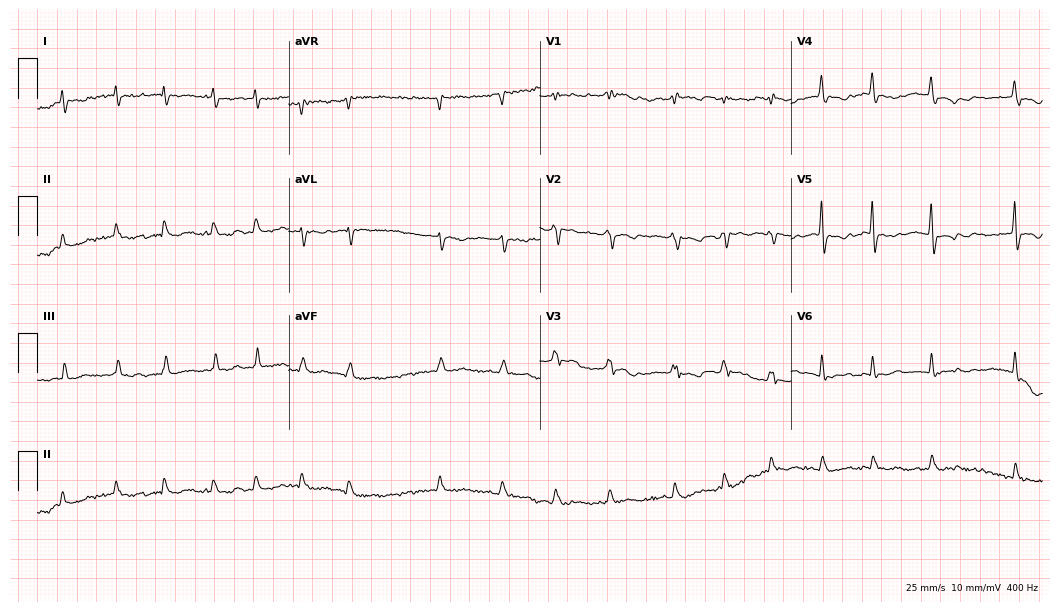
Electrocardiogram, a female, 81 years old. Interpretation includes atrial fibrillation.